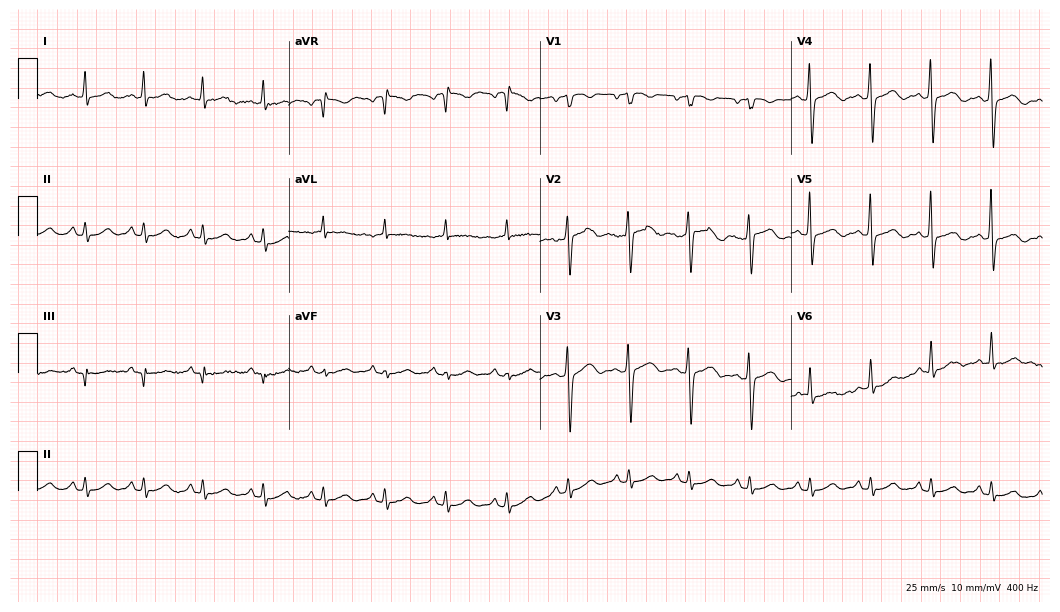
Resting 12-lead electrocardiogram (10.2-second recording at 400 Hz). Patient: a man, 47 years old. Read as a normal ECG.